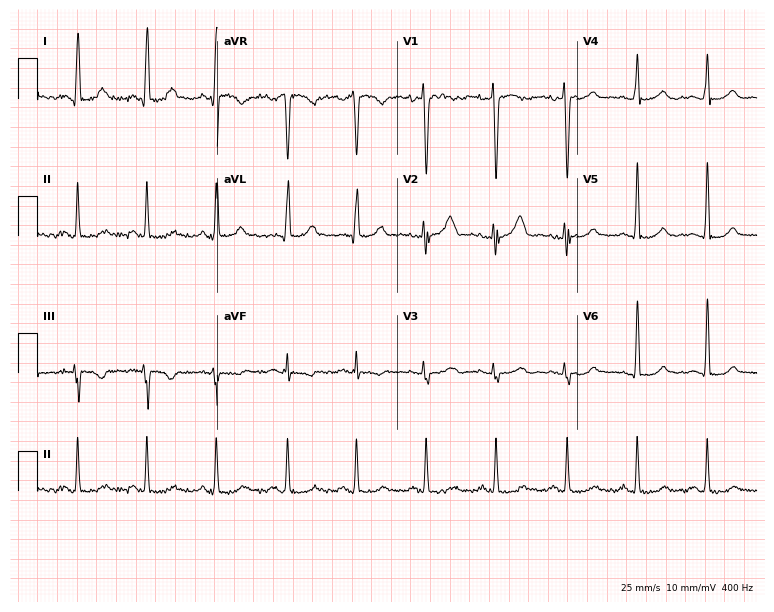
Electrocardiogram, a 44-year-old woman. Of the six screened findings (first-degree AV block, right bundle branch block, left bundle branch block, sinus bradycardia, atrial fibrillation, sinus tachycardia), none is recorded.